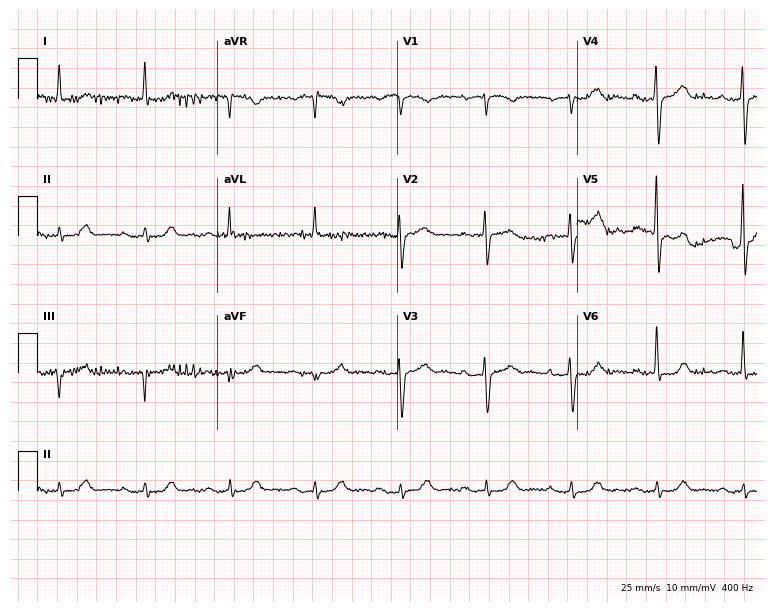
12-lead ECG from a male patient, 79 years old (7.3-second recording at 400 Hz). Shows first-degree AV block.